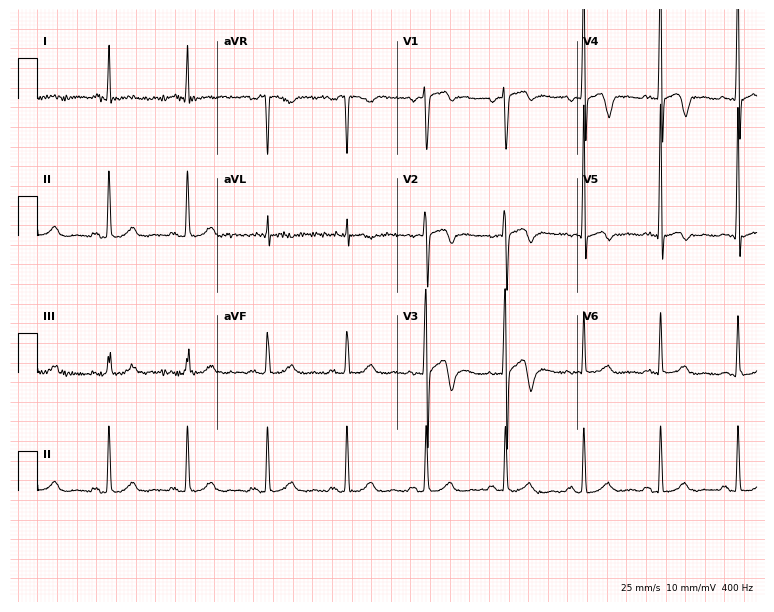
ECG — a male, 54 years old. Screened for six findings — first-degree AV block, right bundle branch block (RBBB), left bundle branch block (LBBB), sinus bradycardia, atrial fibrillation (AF), sinus tachycardia — none is recorded. Only these six findings were labelled.